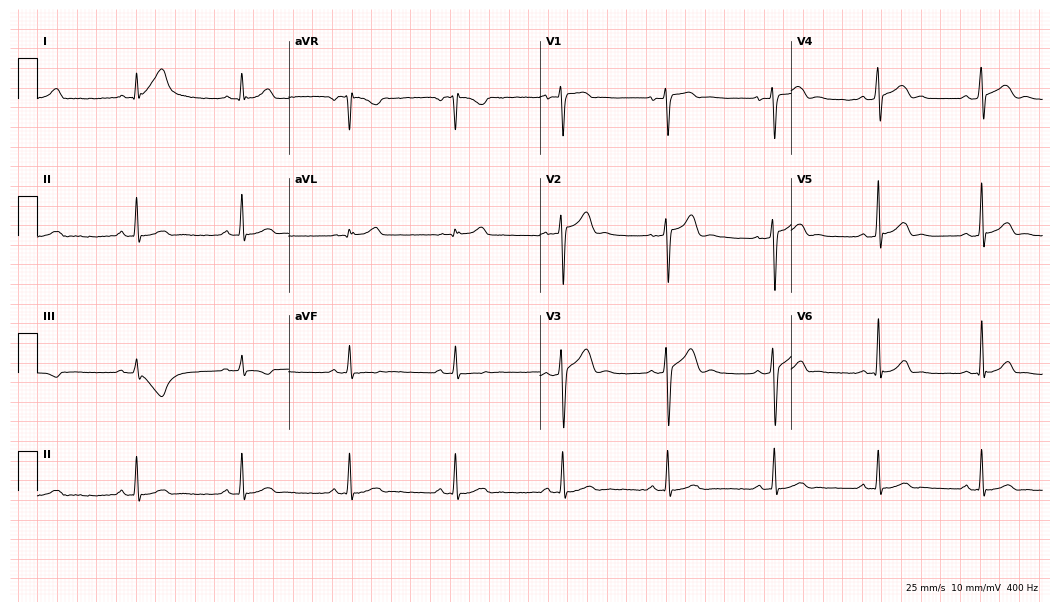
Electrocardiogram (10.2-second recording at 400 Hz), a 51-year-old male. Overall reading on record: normal ECG.